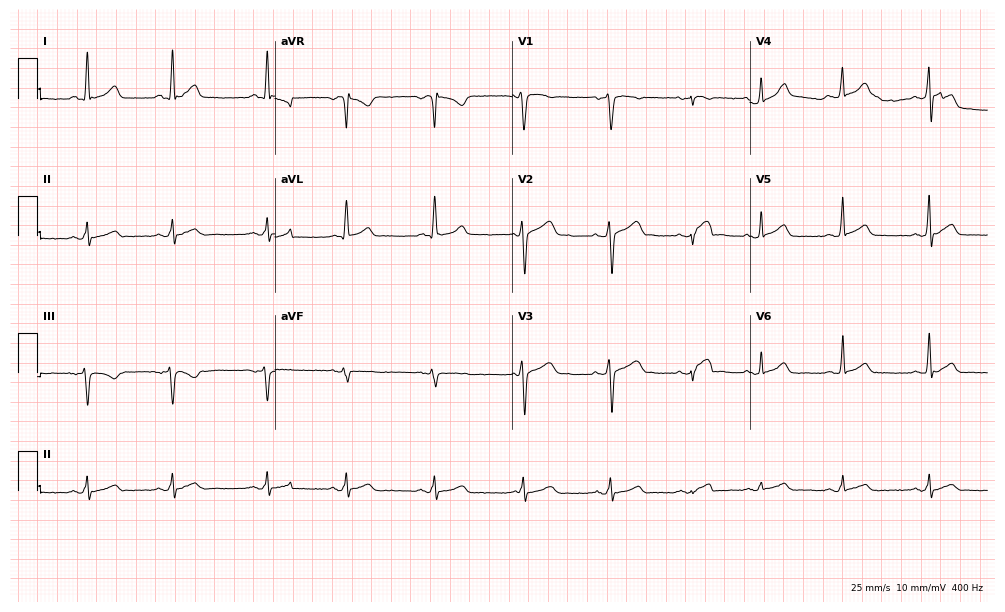
Standard 12-lead ECG recorded from a man, 52 years old. Read as a normal ECG.